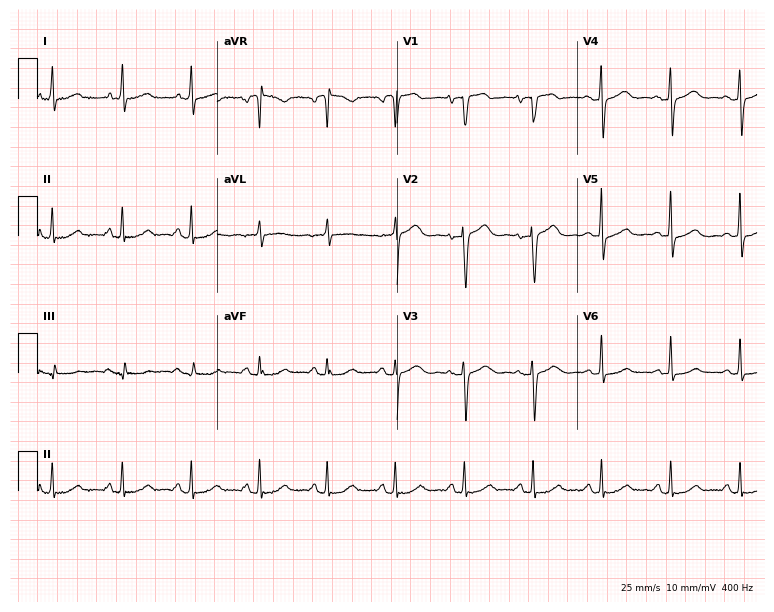
12-lead ECG (7.3-second recording at 400 Hz) from a 73-year-old female. Screened for six findings — first-degree AV block, right bundle branch block (RBBB), left bundle branch block (LBBB), sinus bradycardia, atrial fibrillation (AF), sinus tachycardia — none is recorded. Only these six findings were labelled.